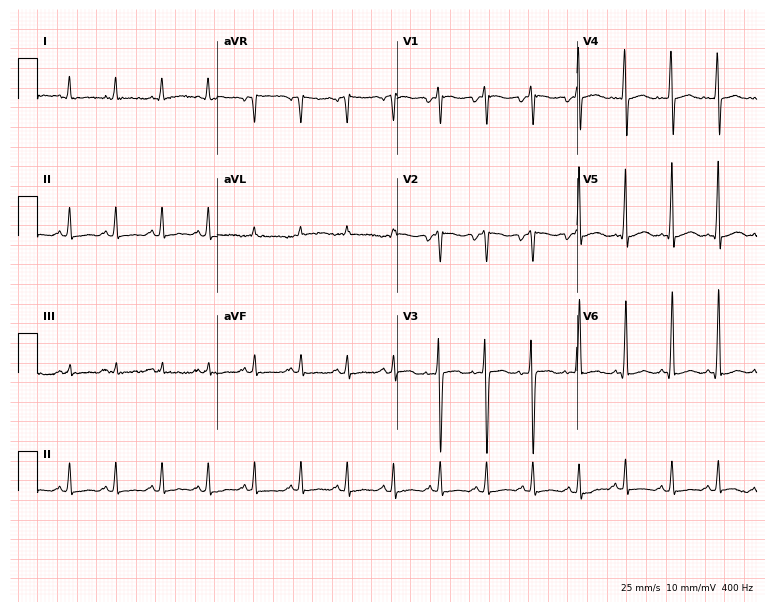
12-lead ECG from a 33-year-old man (7.3-second recording at 400 Hz). Shows sinus tachycardia (a sinus rate of 100 beats per minute or more).